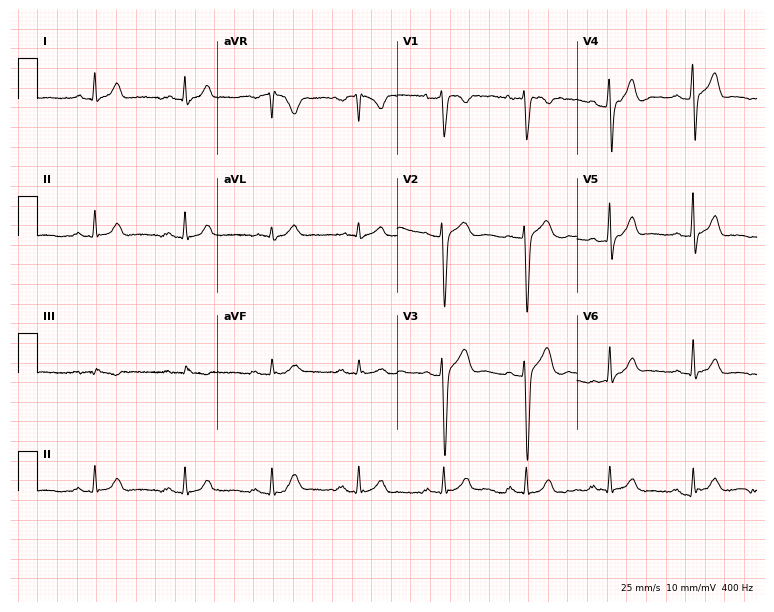
12-lead ECG from a man, 28 years old (7.3-second recording at 400 Hz). Recorded interpretation: within normal limits.